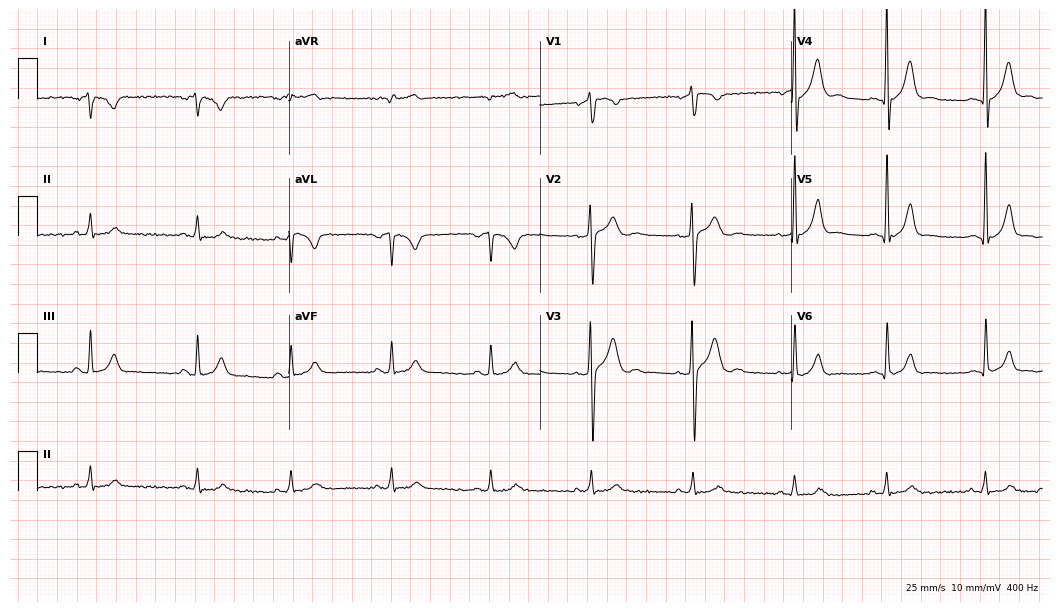
Standard 12-lead ECG recorded from a 17-year-old man. None of these six findings is recorded: first-degree AV block, right bundle branch block (RBBB), left bundle branch block (LBBB), sinus bradycardia, atrial fibrillation (AF), sinus tachycardia. Other findings, if any, are not listed.